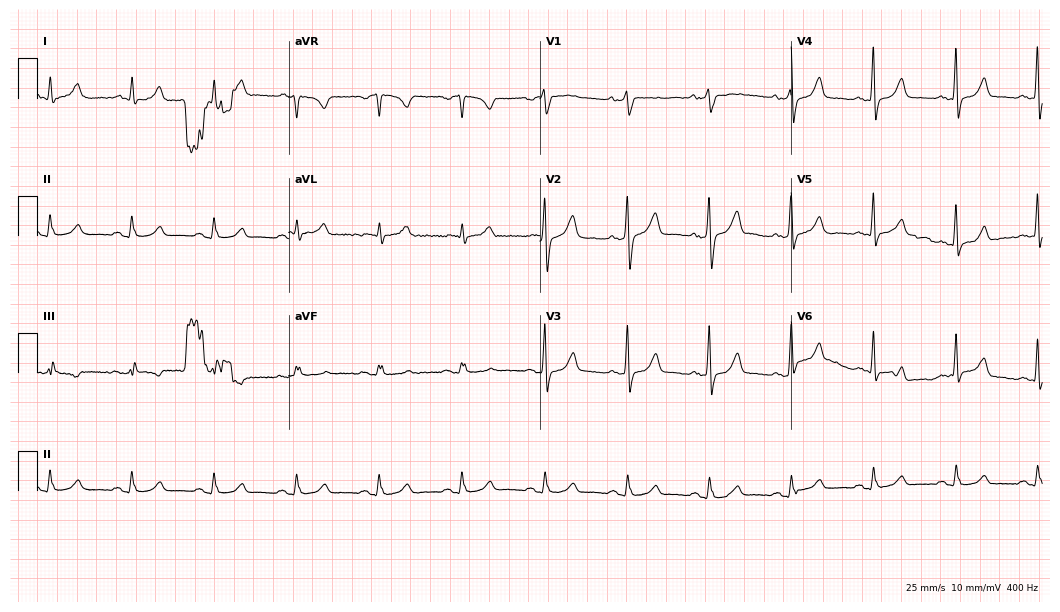
Standard 12-lead ECG recorded from a 62-year-old male patient. Read as a normal ECG.